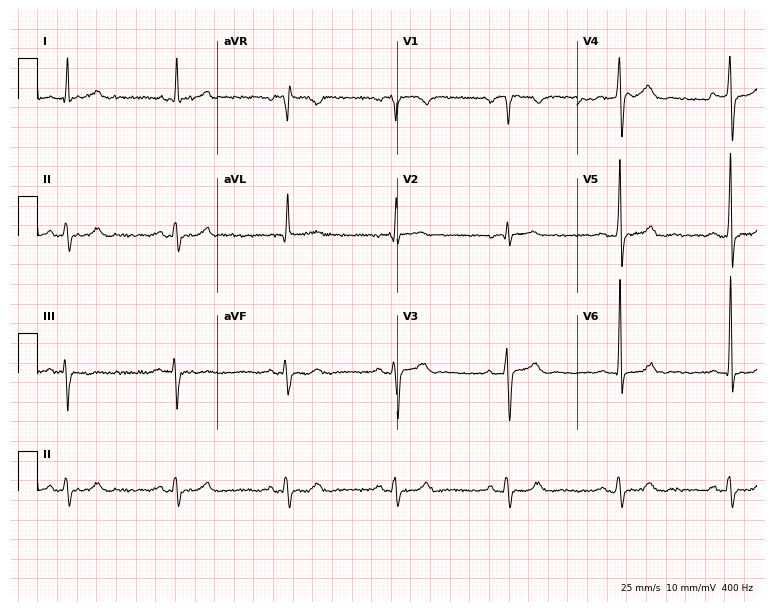
12-lead ECG from a 56-year-old male patient (7.3-second recording at 400 Hz). No first-degree AV block, right bundle branch block, left bundle branch block, sinus bradycardia, atrial fibrillation or sinus tachycardia recorded for this tracing. Only these six findings were labelled.